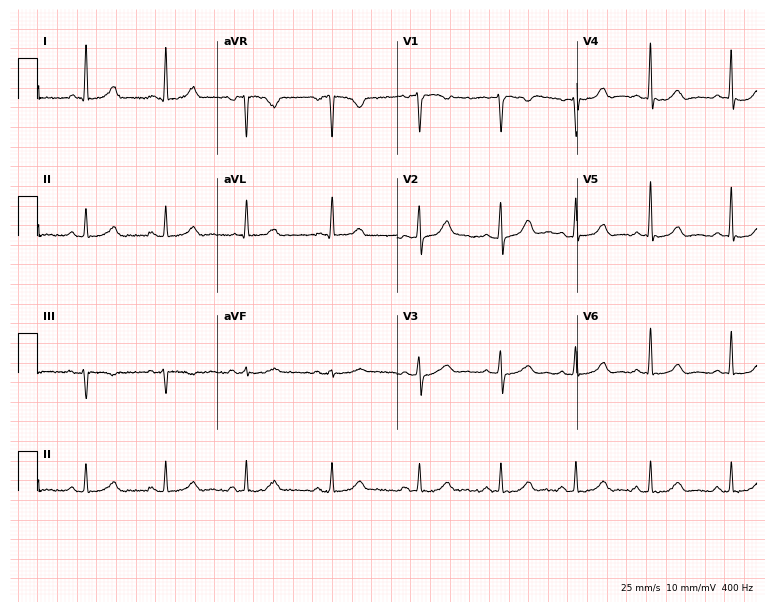
Electrocardiogram, a woman, 44 years old. Of the six screened findings (first-degree AV block, right bundle branch block, left bundle branch block, sinus bradycardia, atrial fibrillation, sinus tachycardia), none is recorded.